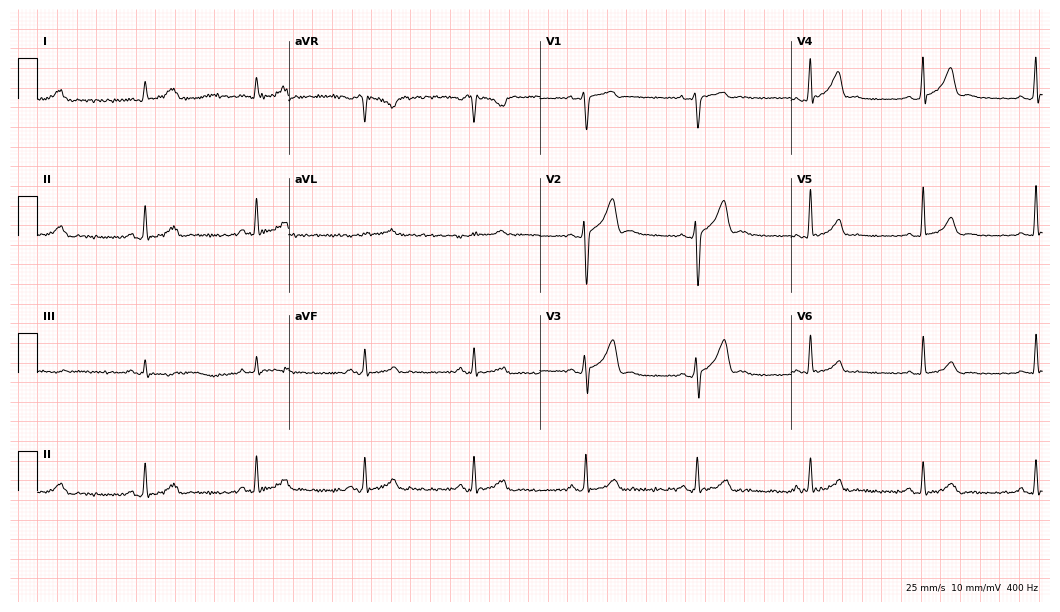
Electrocardiogram, a male, 34 years old. Of the six screened findings (first-degree AV block, right bundle branch block, left bundle branch block, sinus bradycardia, atrial fibrillation, sinus tachycardia), none is recorded.